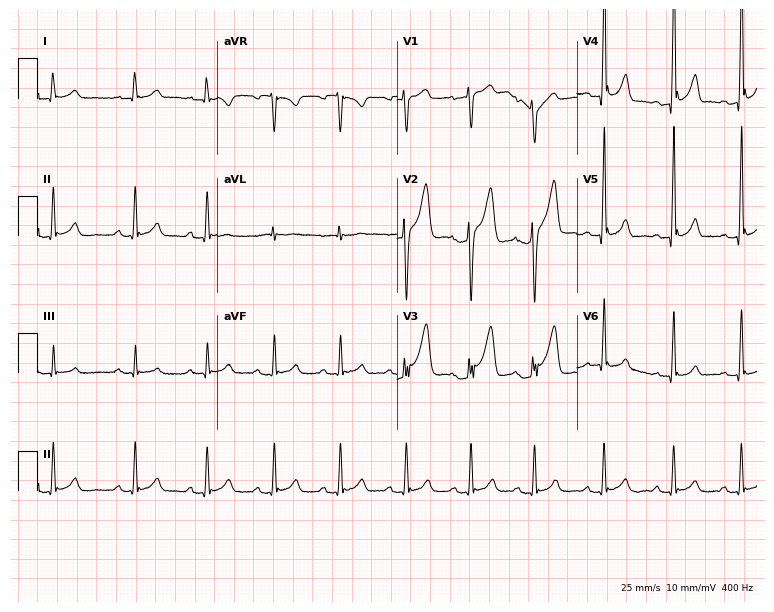
Resting 12-lead electrocardiogram (7.3-second recording at 400 Hz). Patient: a 19-year-old male. None of these six findings is recorded: first-degree AV block, right bundle branch block, left bundle branch block, sinus bradycardia, atrial fibrillation, sinus tachycardia.